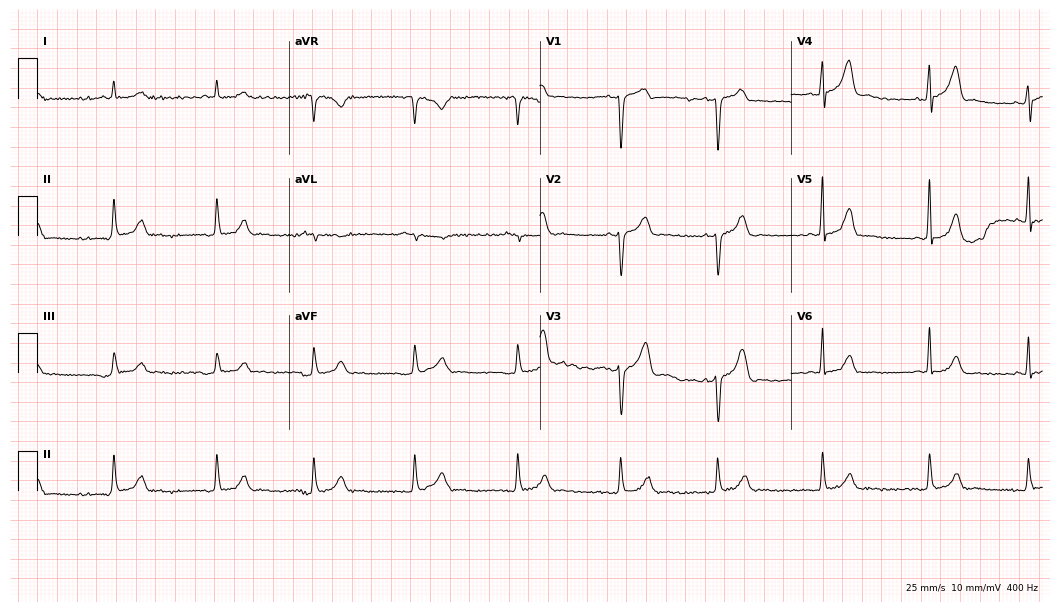
Standard 12-lead ECG recorded from a male, 46 years old. Read as a normal ECG.